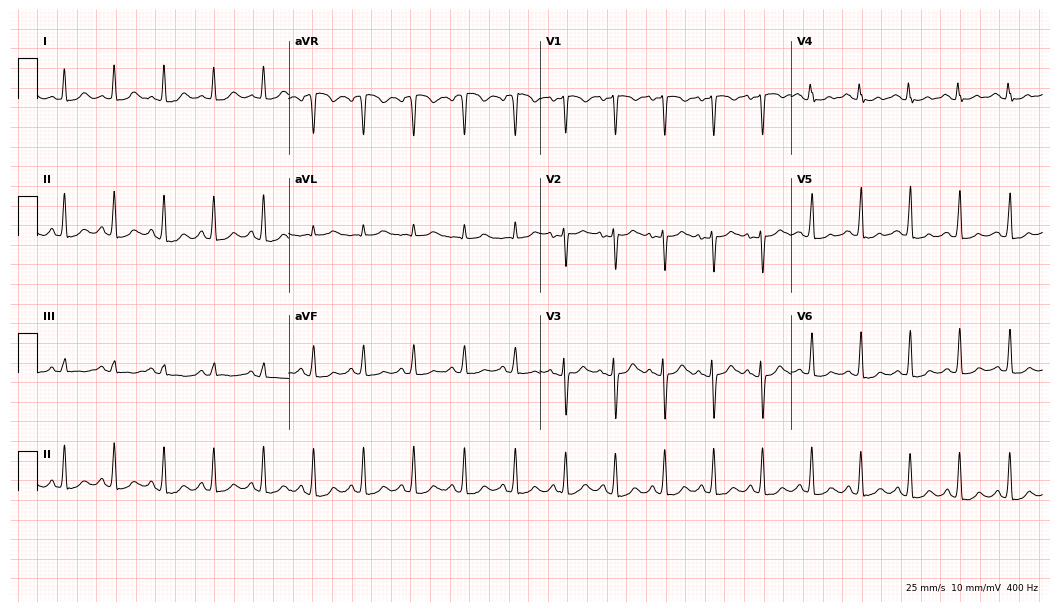
12-lead ECG from a female patient, 41 years old. Shows sinus tachycardia (a sinus rate of 100 beats per minute or more).